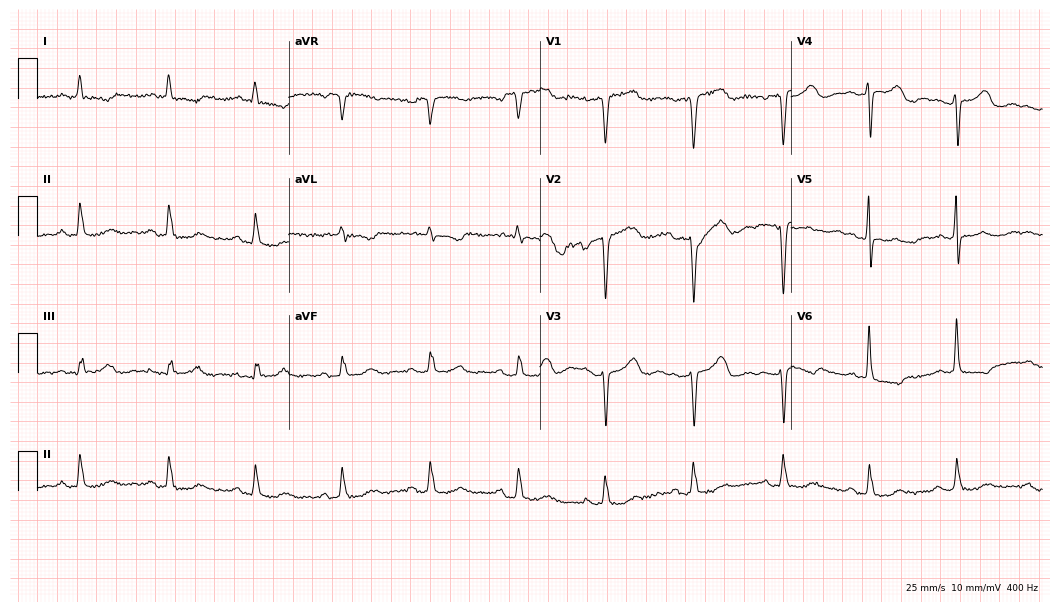
Standard 12-lead ECG recorded from a female patient, 76 years old. None of these six findings is recorded: first-degree AV block, right bundle branch block, left bundle branch block, sinus bradycardia, atrial fibrillation, sinus tachycardia.